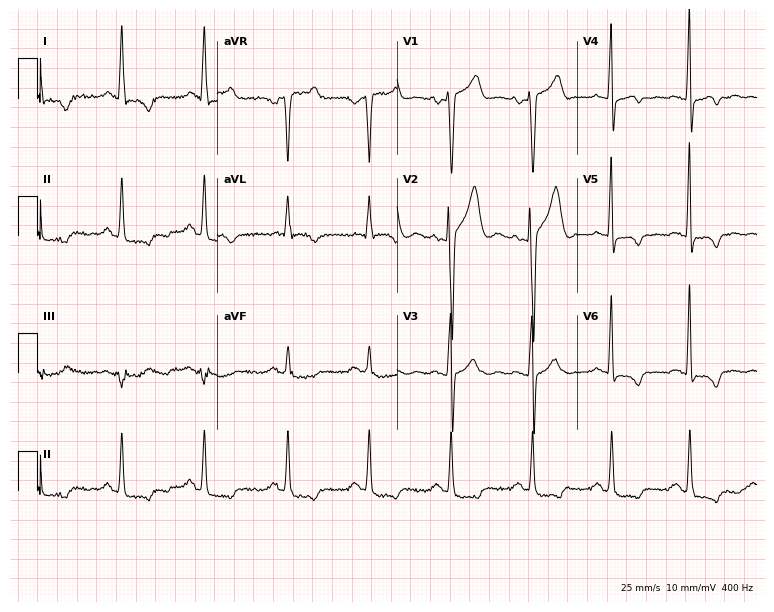
Resting 12-lead electrocardiogram (7.3-second recording at 400 Hz). Patient: a 44-year-old male. None of these six findings is recorded: first-degree AV block, right bundle branch block (RBBB), left bundle branch block (LBBB), sinus bradycardia, atrial fibrillation (AF), sinus tachycardia. Only these six findings were labelled.